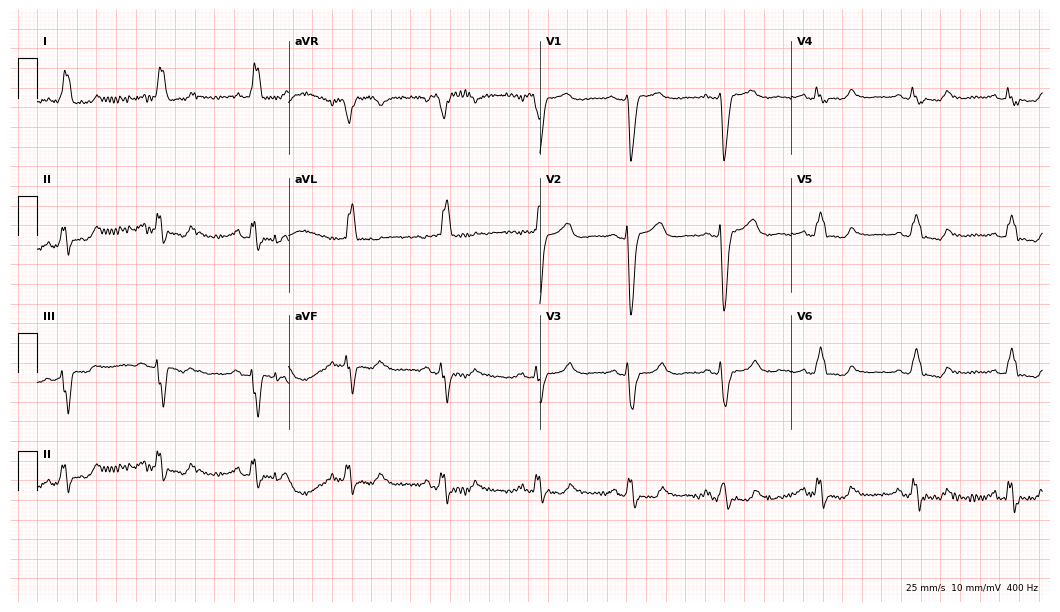
Electrocardiogram (10.2-second recording at 400 Hz), a woman, 72 years old. Interpretation includes left bundle branch block.